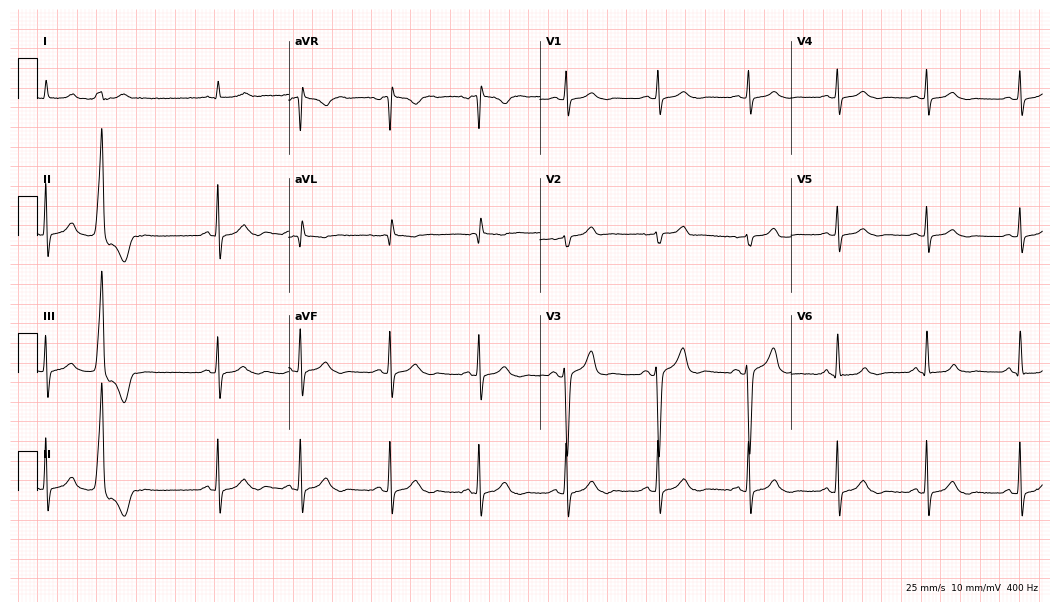
Standard 12-lead ECG recorded from a male patient, 79 years old (10.2-second recording at 400 Hz). Read as a normal ECG.